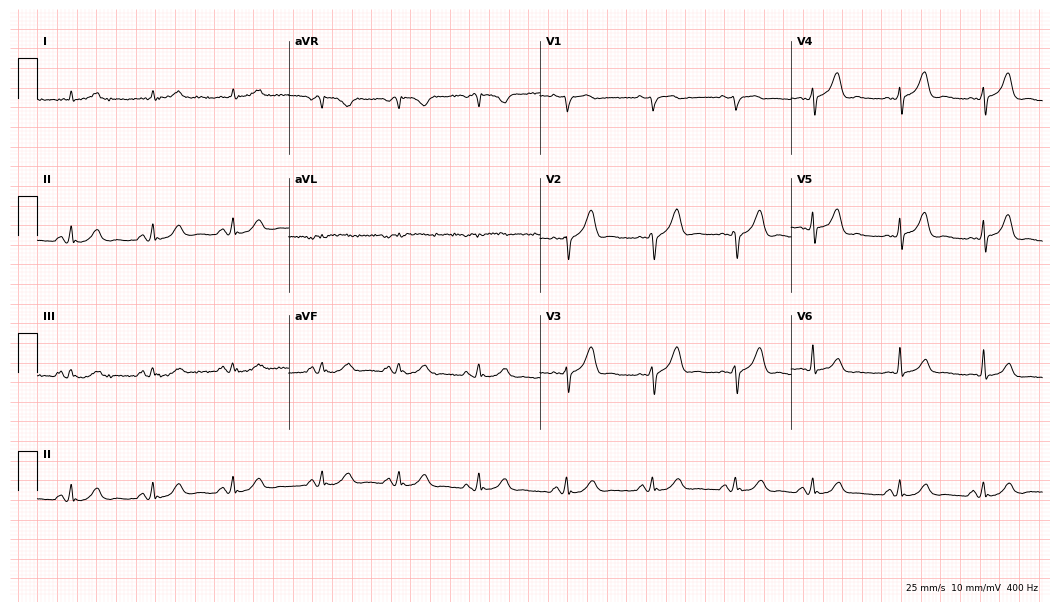
12-lead ECG from an 82-year-old man. Screened for six findings — first-degree AV block, right bundle branch block (RBBB), left bundle branch block (LBBB), sinus bradycardia, atrial fibrillation (AF), sinus tachycardia — none is recorded. Other findings, if any, are not listed.